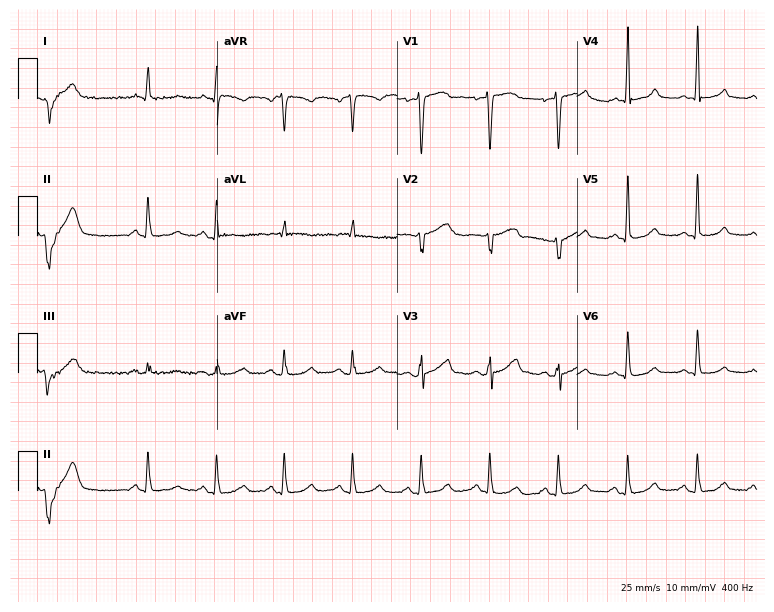
12-lead ECG (7.3-second recording at 400 Hz) from a woman, 64 years old. Labelled as a normal ECG.